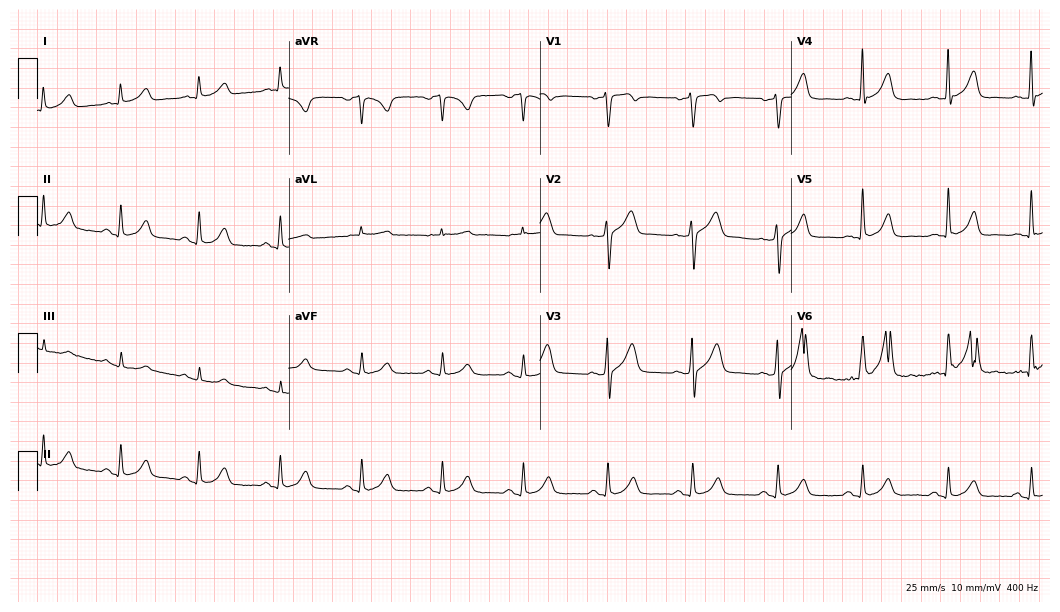
Resting 12-lead electrocardiogram (10.2-second recording at 400 Hz). Patient: a 49-year-old male. Read as a normal ECG.